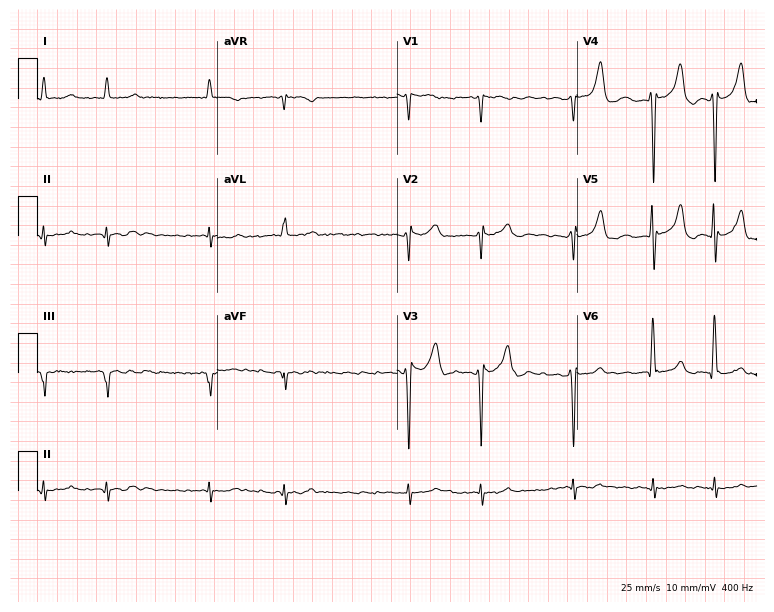
ECG — a male patient, 84 years old. Findings include atrial fibrillation.